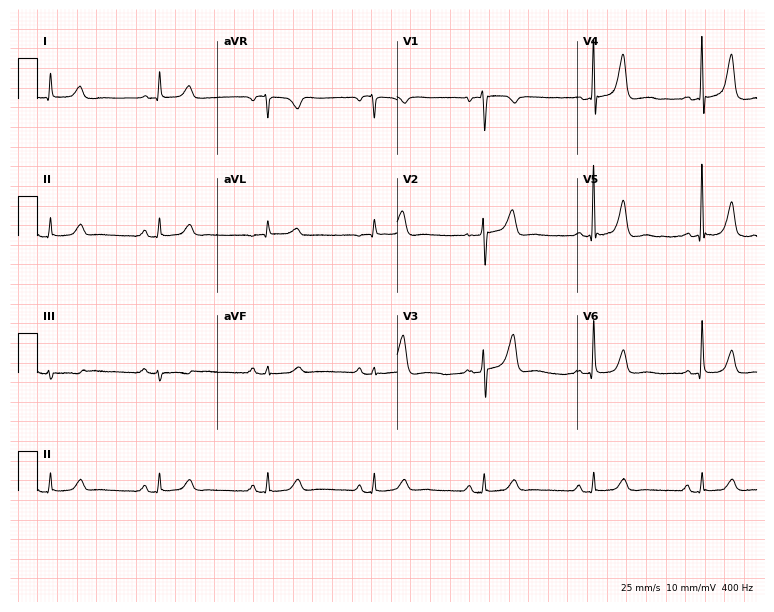
Resting 12-lead electrocardiogram (7.3-second recording at 400 Hz). Patient: a female, 59 years old. None of these six findings is recorded: first-degree AV block, right bundle branch block, left bundle branch block, sinus bradycardia, atrial fibrillation, sinus tachycardia. Only these six findings were labelled.